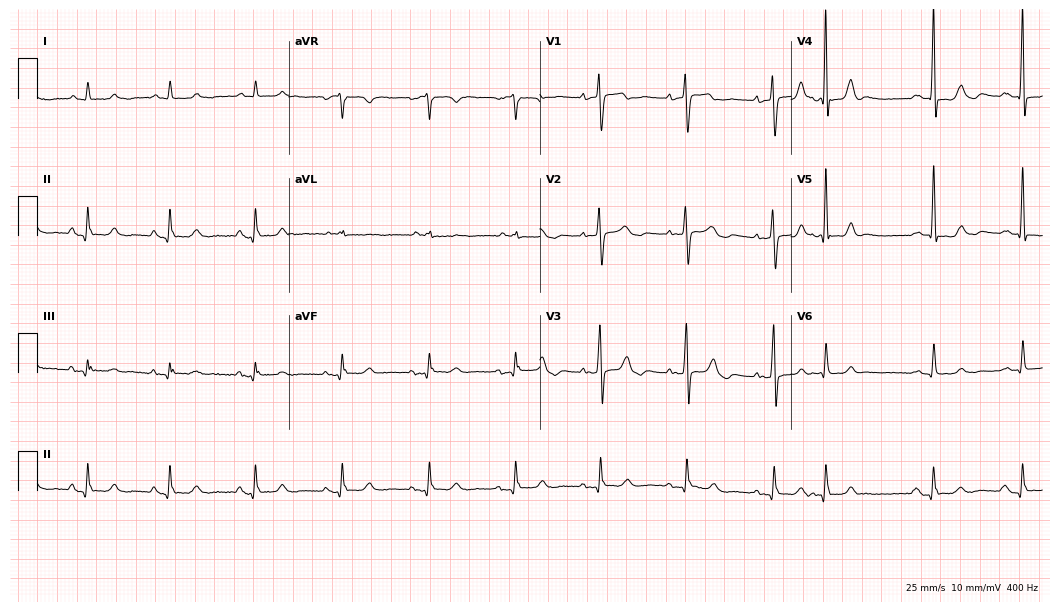
12-lead ECG from a male patient, 70 years old (10.2-second recording at 400 Hz). No first-degree AV block, right bundle branch block (RBBB), left bundle branch block (LBBB), sinus bradycardia, atrial fibrillation (AF) or sinus tachycardia recorded for this tracing.